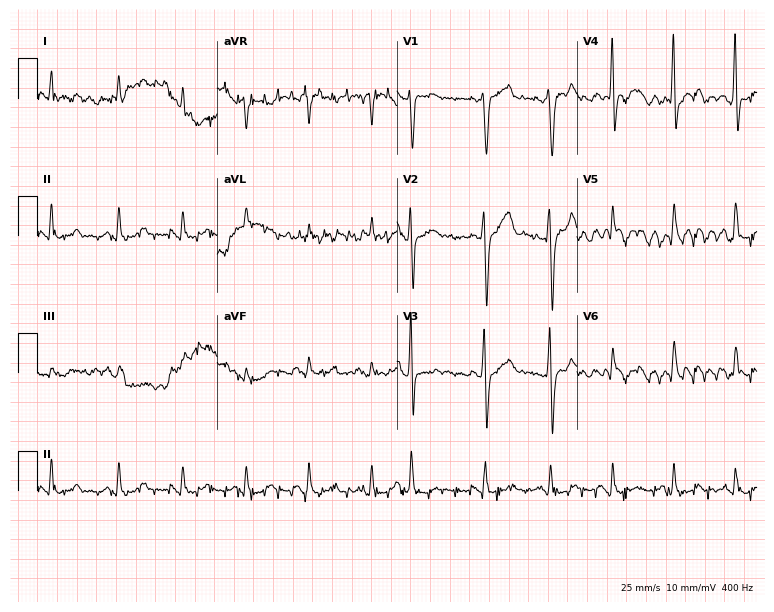
12-lead ECG from a 64-year-old male. Screened for six findings — first-degree AV block, right bundle branch block, left bundle branch block, sinus bradycardia, atrial fibrillation, sinus tachycardia — none is recorded. Only these six findings were labelled.